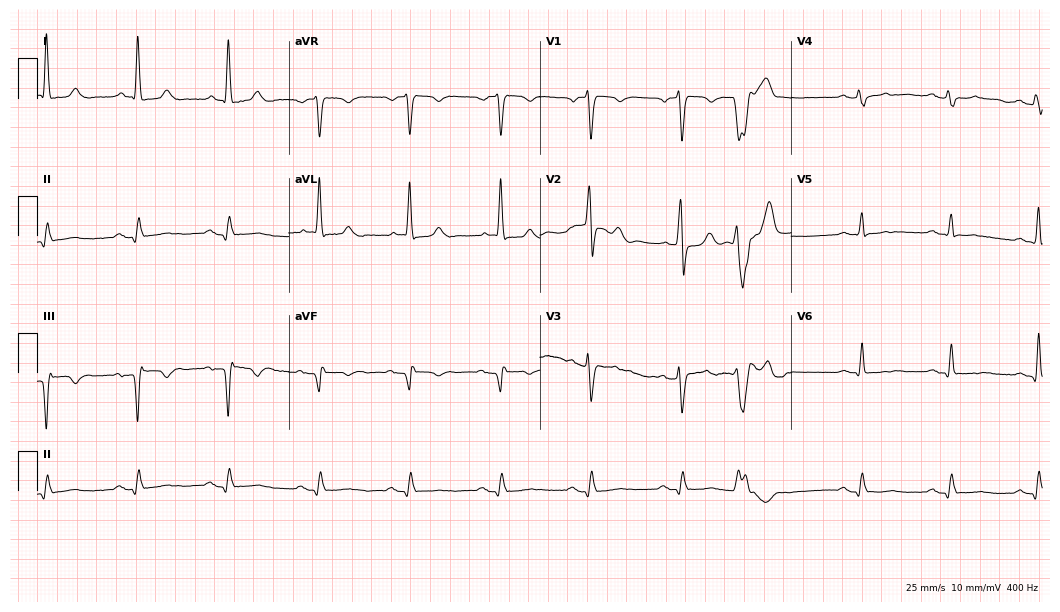
Resting 12-lead electrocardiogram (10.2-second recording at 400 Hz). Patient: a man, 89 years old. None of these six findings is recorded: first-degree AV block, right bundle branch block, left bundle branch block, sinus bradycardia, atrial fibrillation, sinus tachycardia. Findings outside these six are not listed.